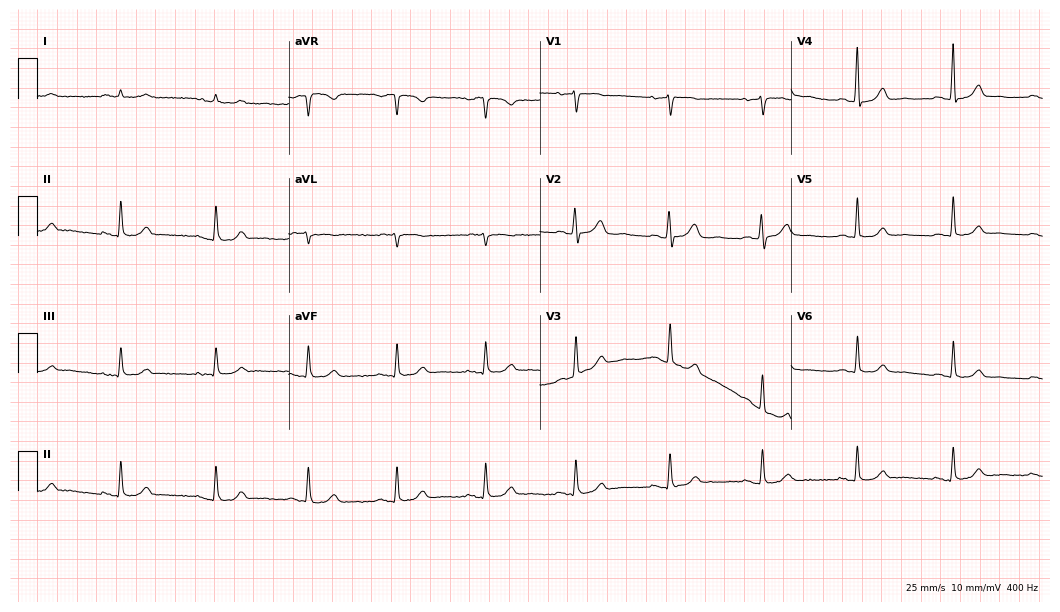
12-lead ECG (10.2-second recording at 400 Hz) from a male patient, 78 years old. Labelled as a normal ECG.